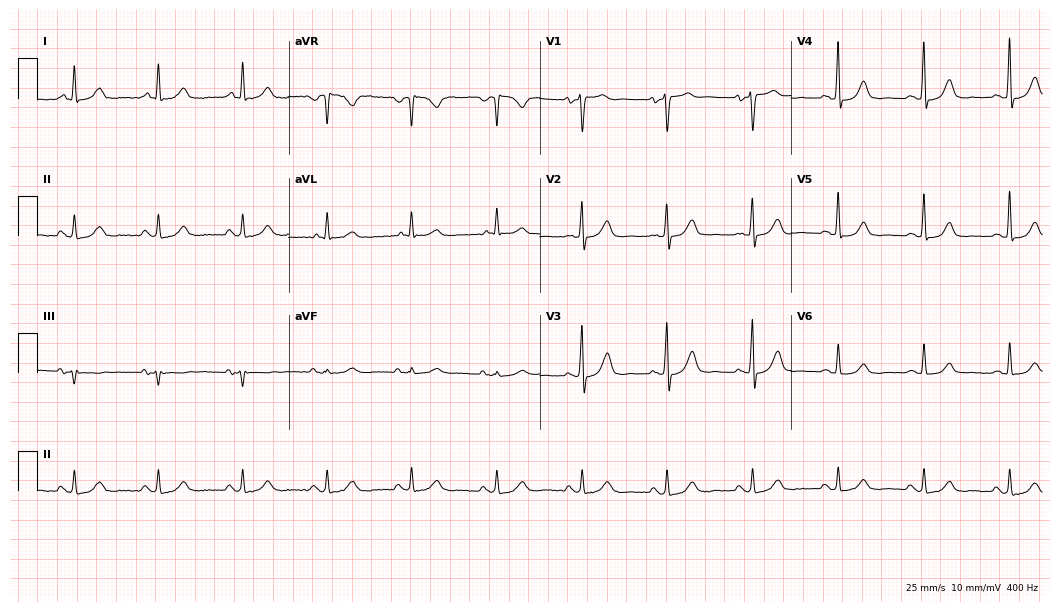
Standard 12-lead ECG recorded from a 73-year-old male patient. None of these six findings is recorded: first-degree AV block, right bundle branch block, left bundle branch block, sinus bradycardia, atrial fibrillation, sinus tachycardia.